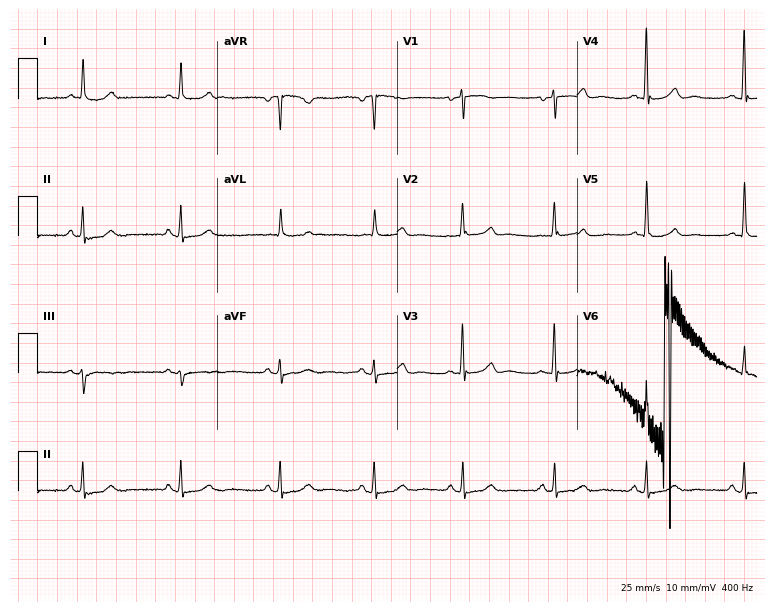
Electrocardiogram (7.3-second recording at 400 Hz), a woman, 72 years old. Of the six screened findings (first-degree AV block, right bundle branch block, left bundle branch block, sinus bradycardia, atrial fibrillation, sinus tachycardia), none is recorded.